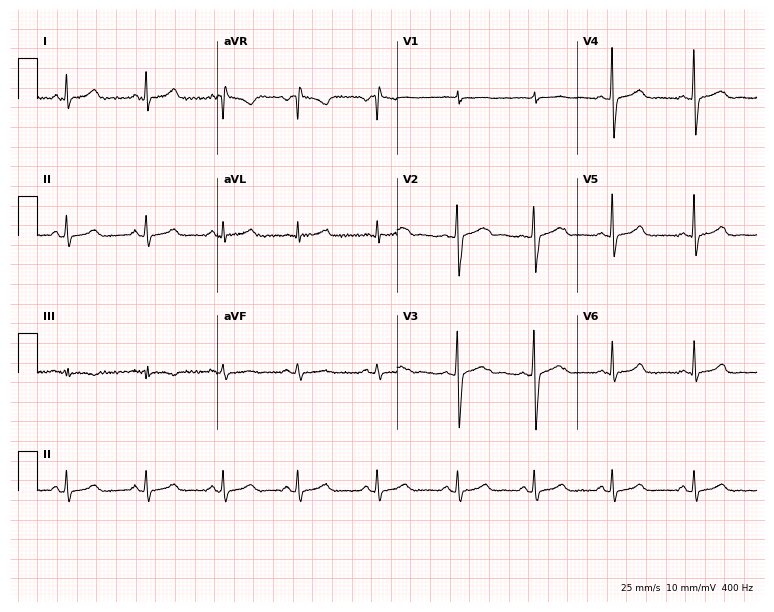
Resting 12-lead electrocardiogram (7.3-second recording at 400 Hz). Patient: a 26-year-old female. Read as a normal ECG.